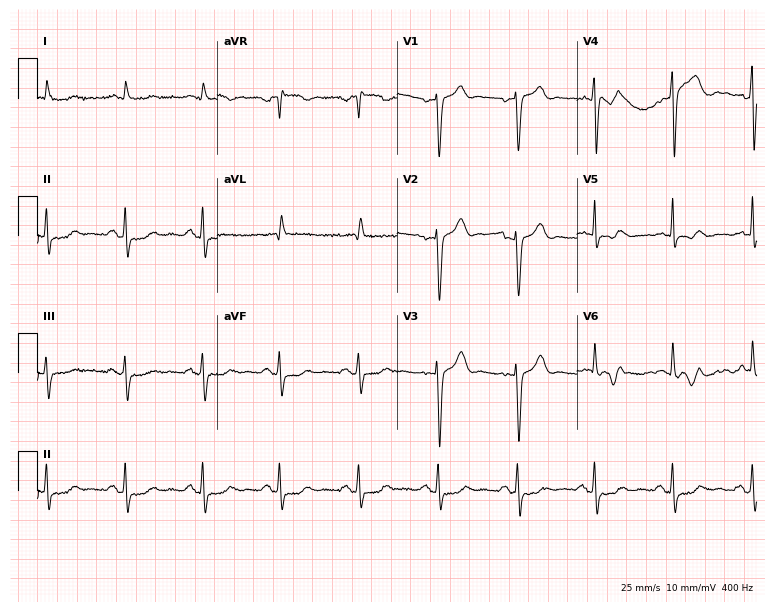
ECG — a man, 63 years old. Screened for six findings — first-degree AV block, right bundle branch block, left bundle branch block, sinus bradycardia, atrial fibrillation, sinus tachycardia — none is recorded.